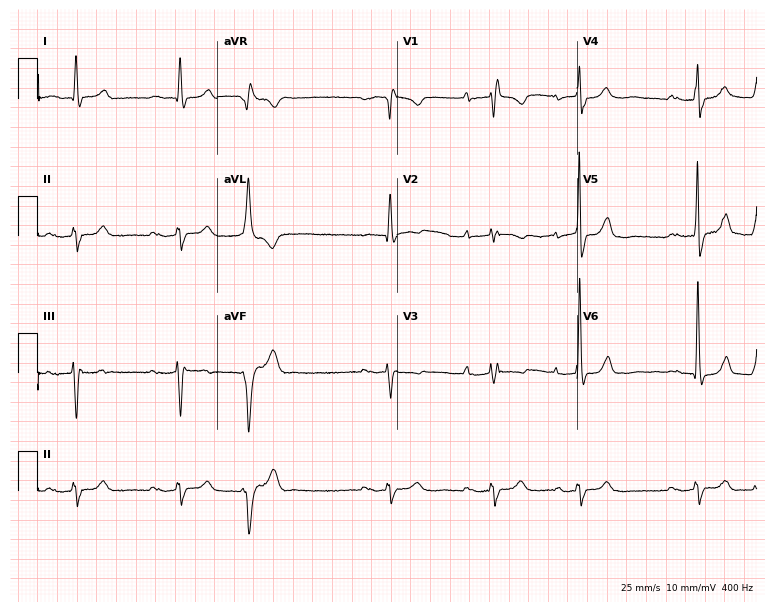
Standard 12-lead ECG recorded from a female patient, 85 years old (7.3-second recording at 400 Hz). The tracing shows first-degree AV block, right bundle branch block.